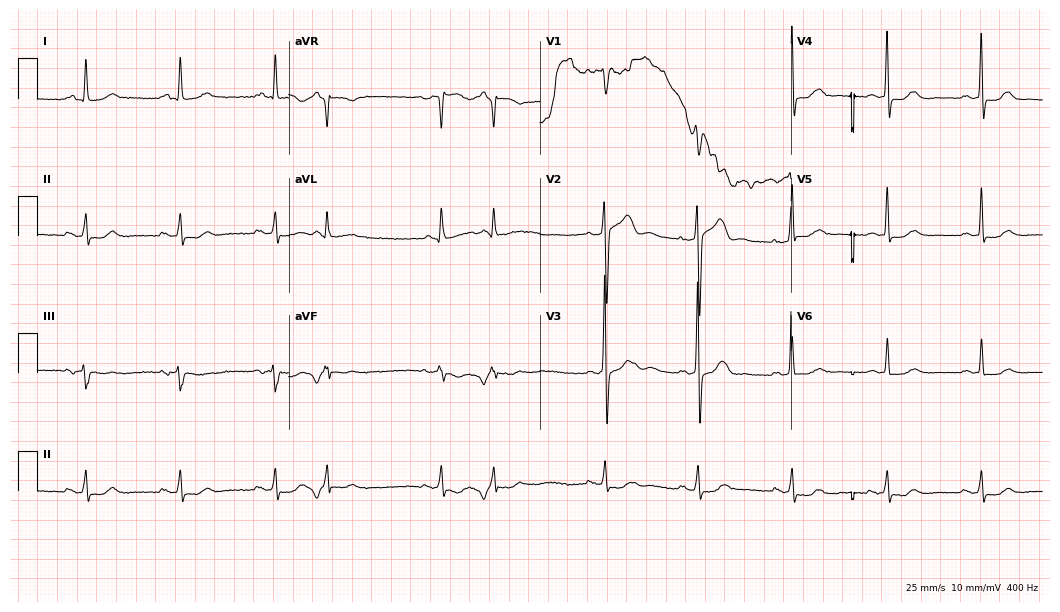
12-lead ECG from a 69-year-old male patient (10.2-second recording at 400 Hz). No first-degree AV block, right bundle branch block, left bundle branch block, sinus bradycardia, atrial fibrillation or sinus tachycardia recorded for this tracing. Only these six findings were labelled.